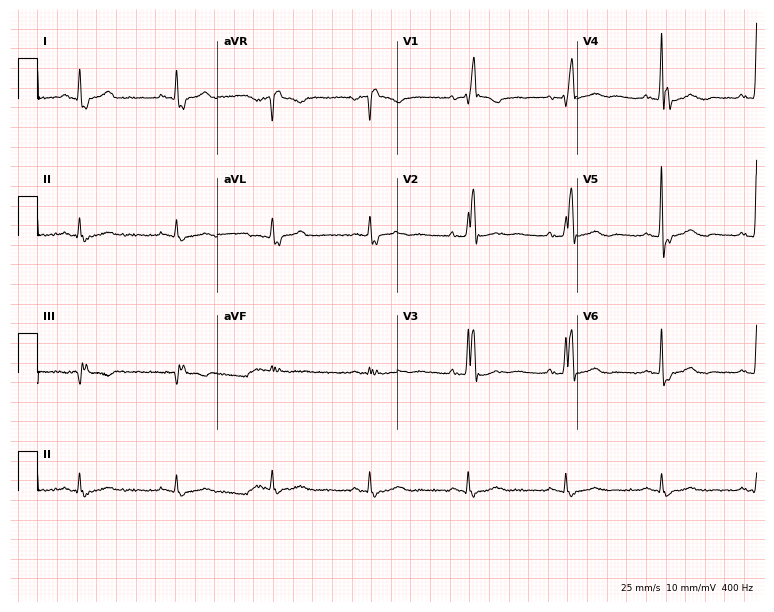
Standard 12-lead ECG recorded from a 78-year-old man. The tracing shows right bundle branch block.